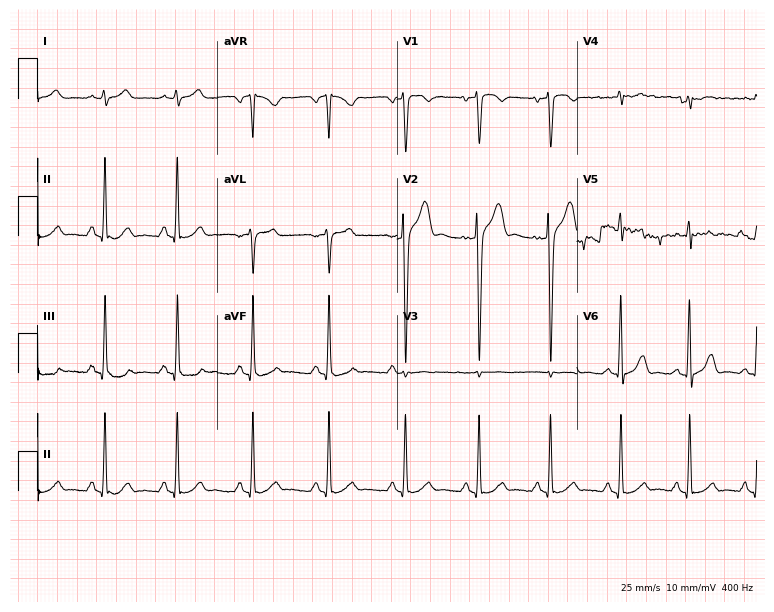
12-lead ECG from a man, 30 years old. Labelled as a normal ECG.